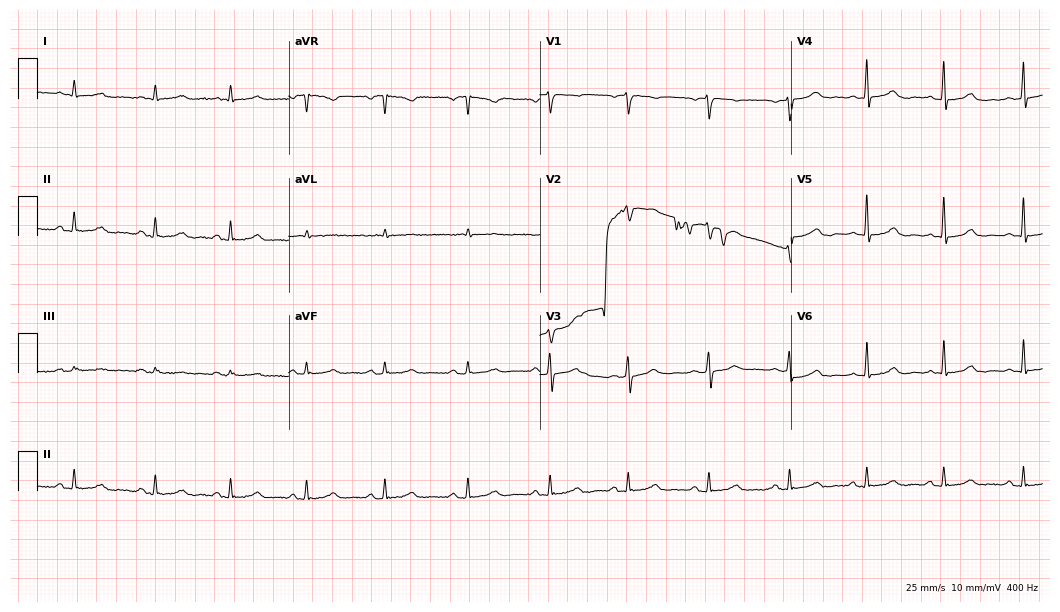
12-lead ECG from a female patient, 49 years old. Labelled as a normal ECG.